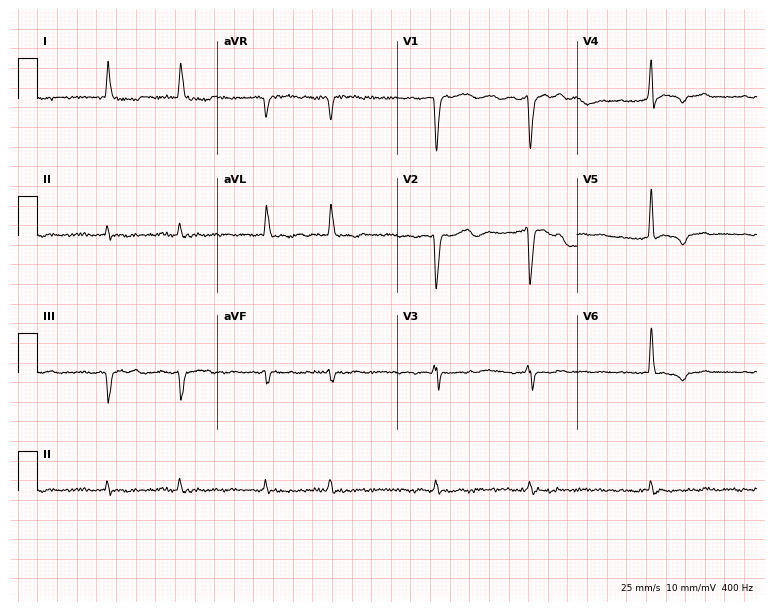
Electrocardiogram (7.3-second recording at 400 Hz), a female patient, 75 years old. Interpretation includes atrial fibrillation.